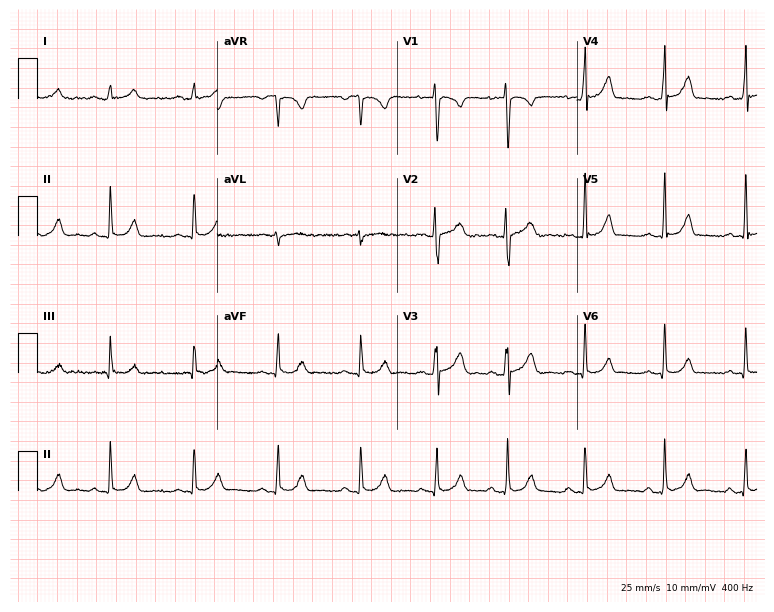
12-lead ECG from an 18-year-old female patient. Recorded interpretation: within normal limits.